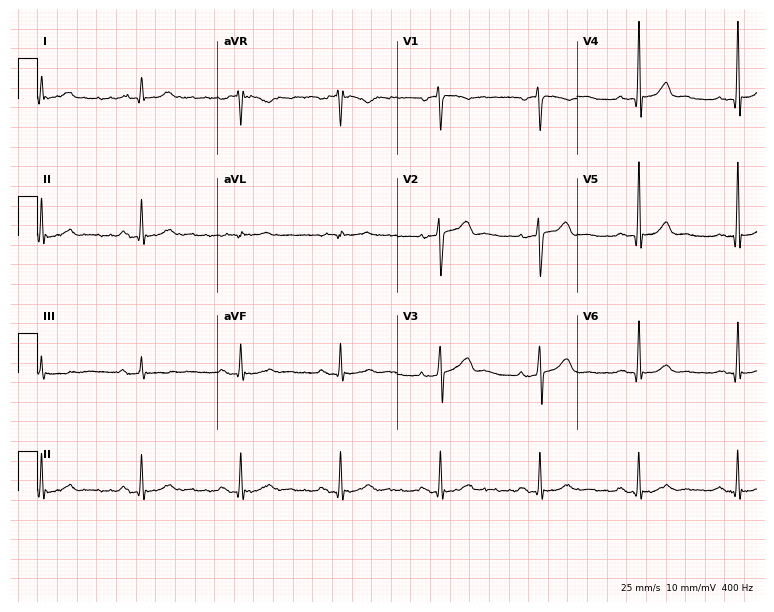
ECG (7.3-second recording at 400 Hz) — a male patient, 65 years old. Screened for six findings — first-degree AV block, right bundle branch block, left bundle branch block, sinus bradycardia, atrial fibrillation, sinus tachycardia — none is recorded. Findings outside these six are not listed.